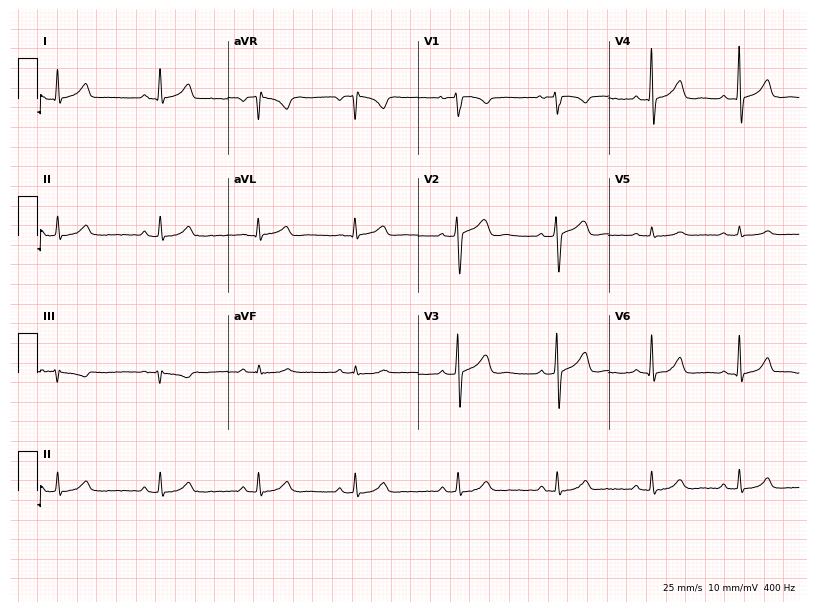
12-lead ECG from a 38-year-old woman. Recorded interpretation: within normal limits.